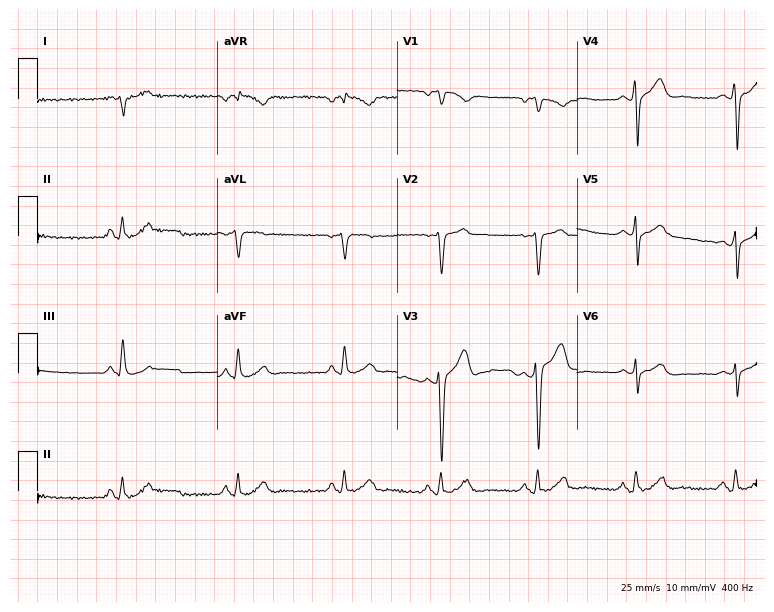
Resting 12-lead electrocardiogram. Patient: a 39-year-old man. None of these six findings is recorded: first-degree AV block, right bundle branch block, left bundle branch block, sinus bradycardia, atrial fibrillation, sinus tachycardia.